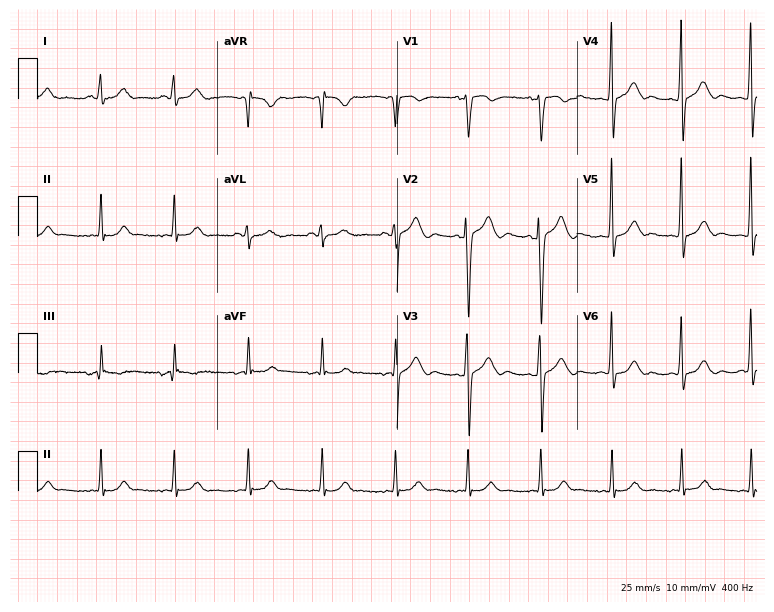
ECG (7.3-second recording at 400 Hz) — a 38-year-old man. Screened for six findings — first-degree AV block, right bundle branch block, left bundle branch block, sinus bradycardia, atrial fibrillation, sinus tachycardia — none is recorded.